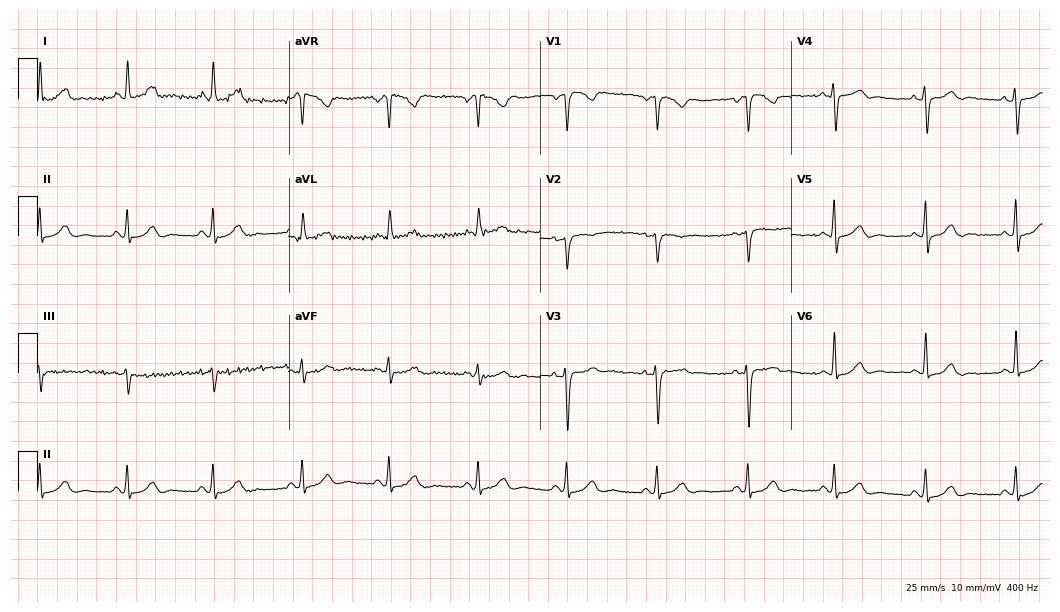
ECG (10.2-second recording at 400 Hz) — a 47-year-old woman. Screened for six findings — first-degree AV block, right bundle branch block (RBBB), left bundle branch block (LBBB), sinus bradycardia, atrial fibrillation (AF), sinus tachycardia — none is recorded. Other findings, if any, are not listed.